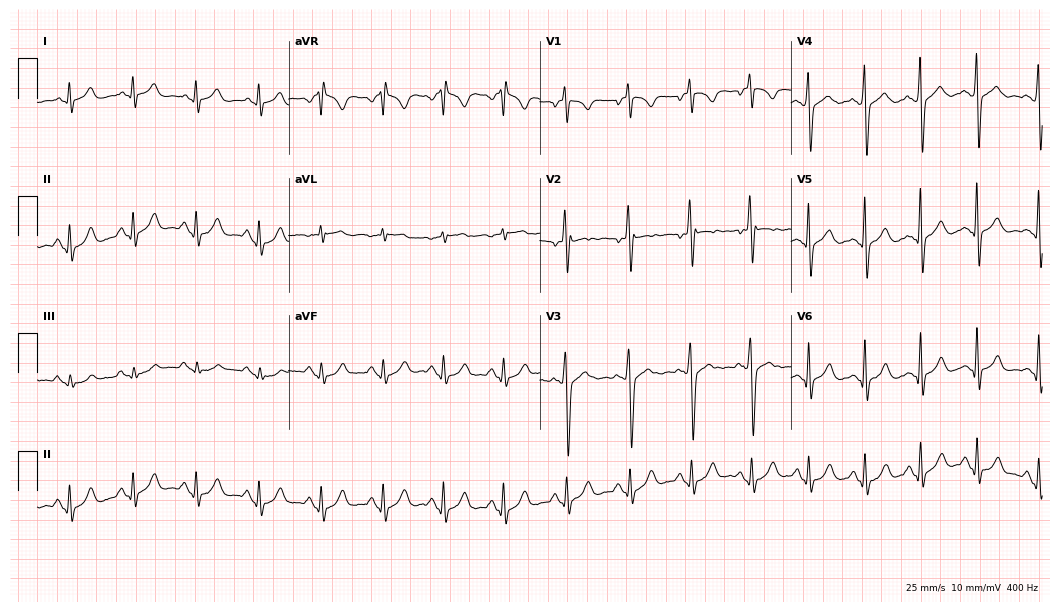
Standard 12-lead ECG recorded from a 24-year-old male (10.2-second recording at 400 Hz). Read as a normal ECG.